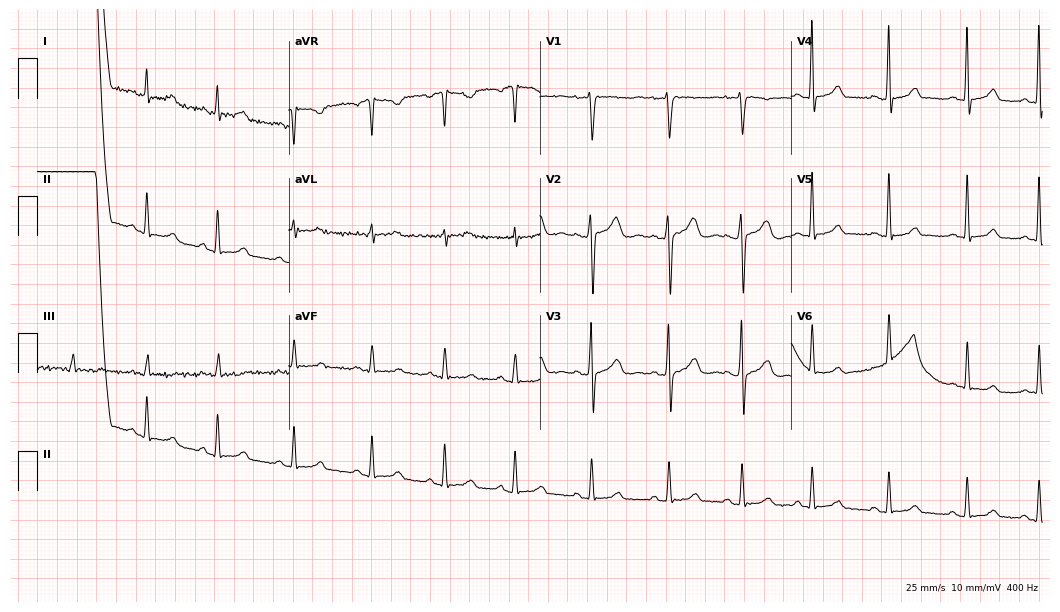
12-lead ECG from a female patient, 34 years old (10.2-second recording at 400 Hz). No first-degree AV block, right bundle branch block, left bundle branch block, sinus bradycardia, atrial fibrillation or sinus tachycardia recorded for this tracing.